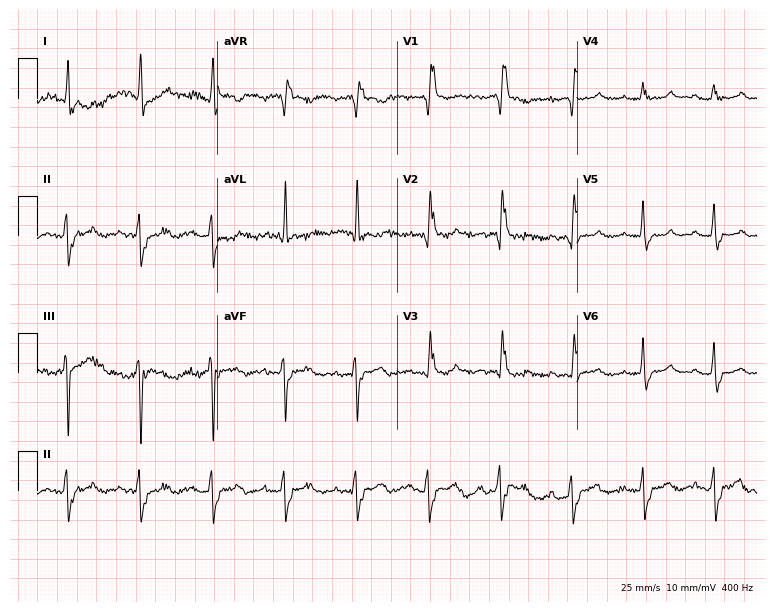
Standard 12-lead ECG recorded from a woman, 74 years old (7.3-second recording at 400 Hz). The tracing shows right bundle branch block.